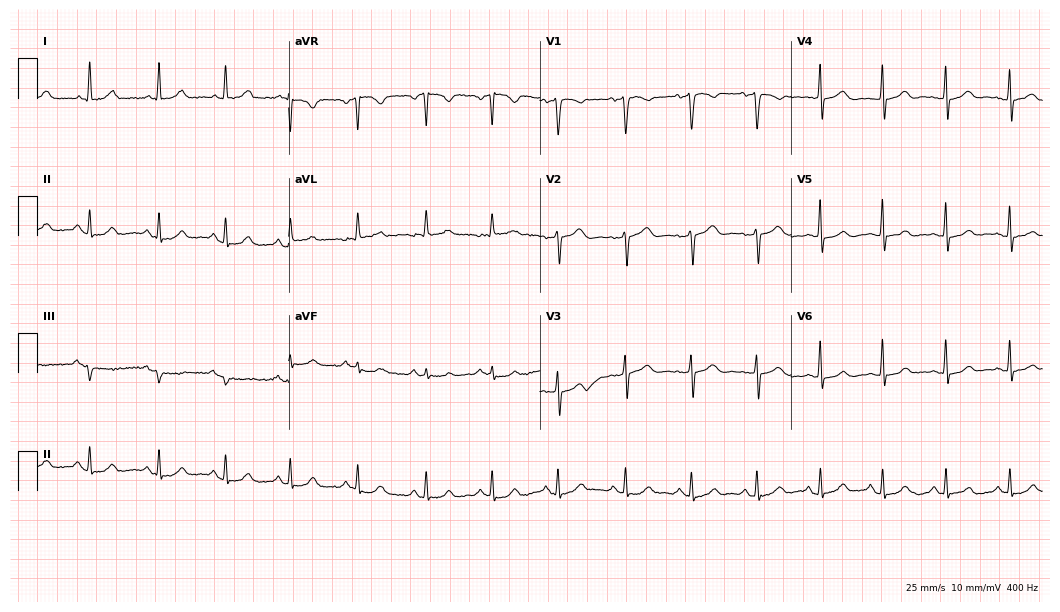
Standard 12-lead ECG recorded from a 55-year-old female (10.2-second recording at 400 Hz). None of these six findings is recorded: first-degree AV block, right bundle branch block (RBBB), left bundle branch block (LBBB), sinus bradycardia, atrial fibrillation (AF), sinus tachycardia.